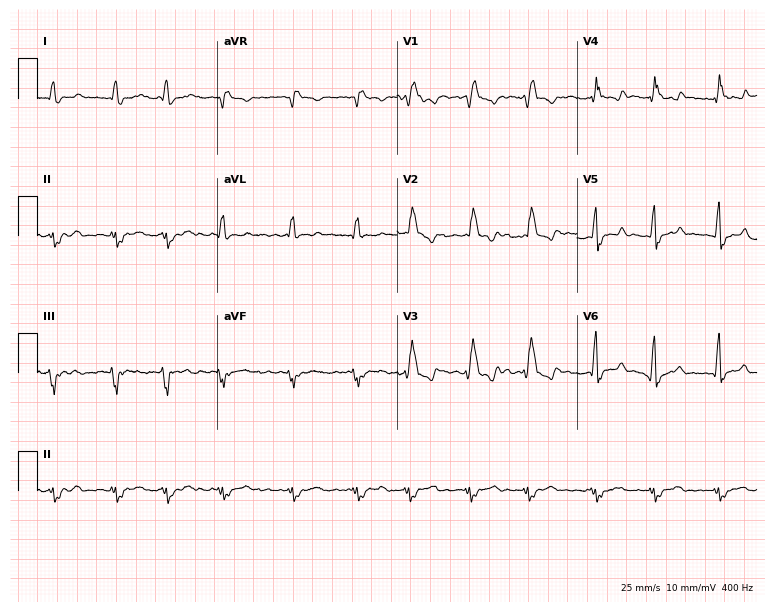
Resting 12-lead electrocardiogram. Patient: a 58-year-old man. The tracing shows right bundle branch block, atrial fibrillation.